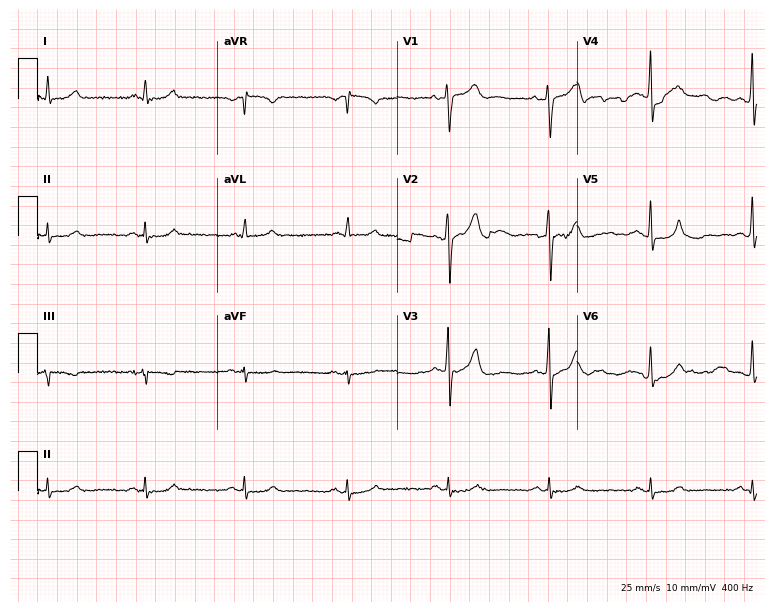
Resting 12-lead electrocardiogram (7.3-second recording at 400 Hz). Patient: a 53-year-old male. Read as a normal ECG.